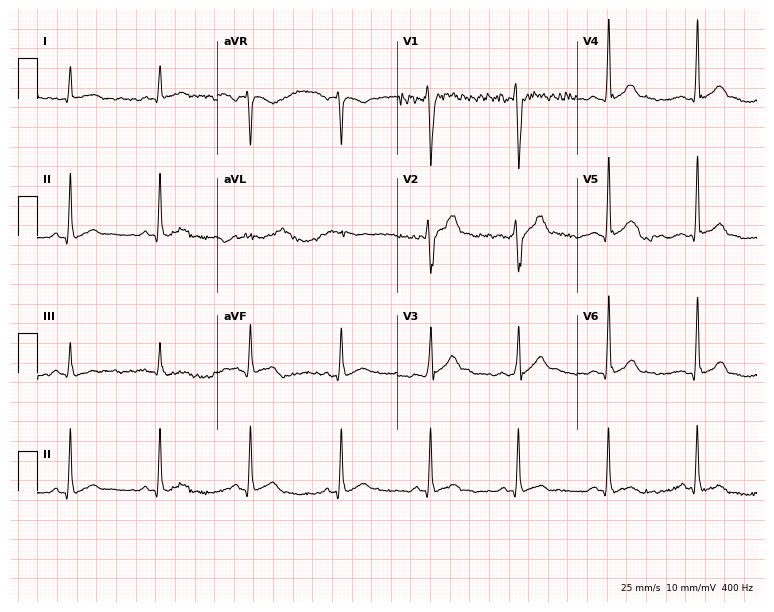
Resting 12-lead electrocardiogram (7.3-second recording at 400 Hz). Patient: a man, 27 years old. Read as a normal ECG.